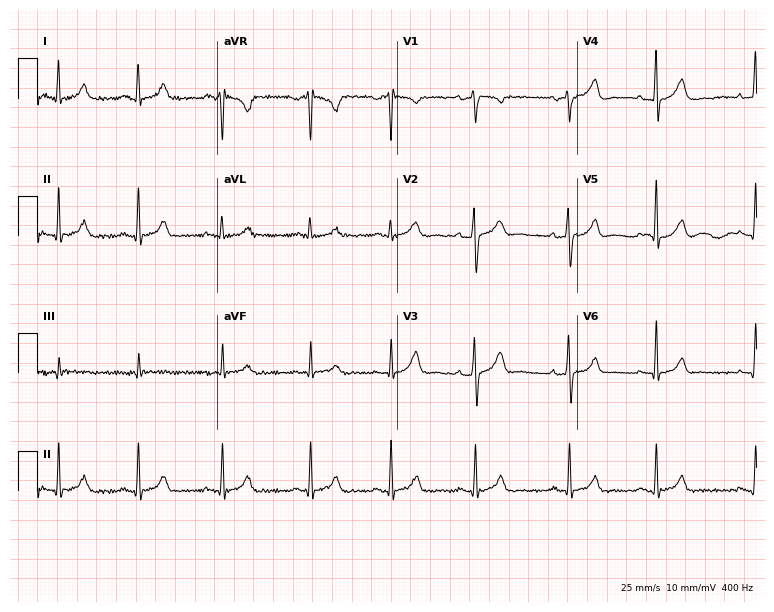
ECG (7.3-second recording at 400 Hz) — a 30-year-old female. Labelled as a normal ECG.